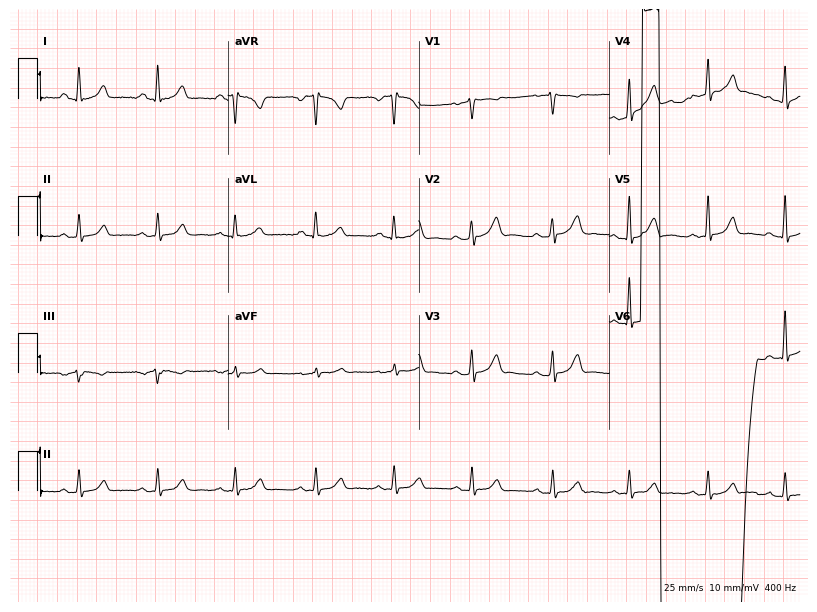
Electrocardiogram, a 41-year-old female patient. Overall reading on record: normal ECG.